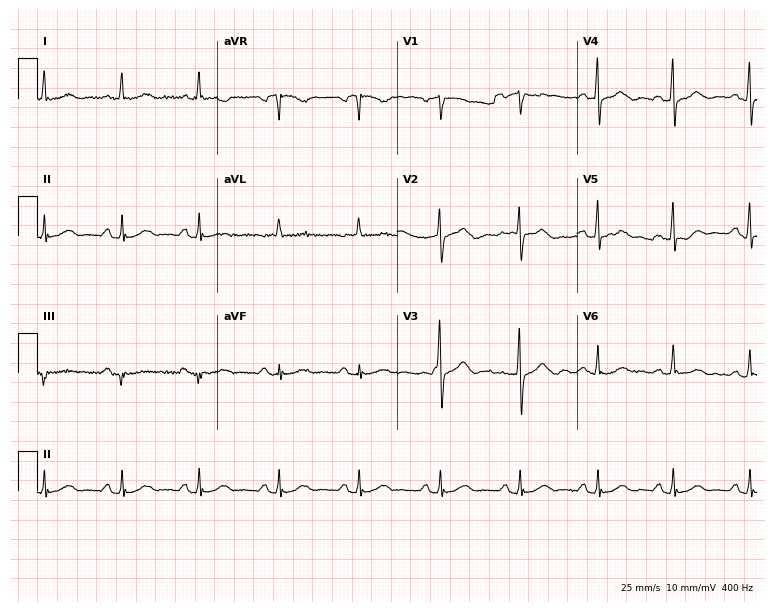
Electrocardiogram, a 67-year-old female patient. Overall reading on record: normal ECG.